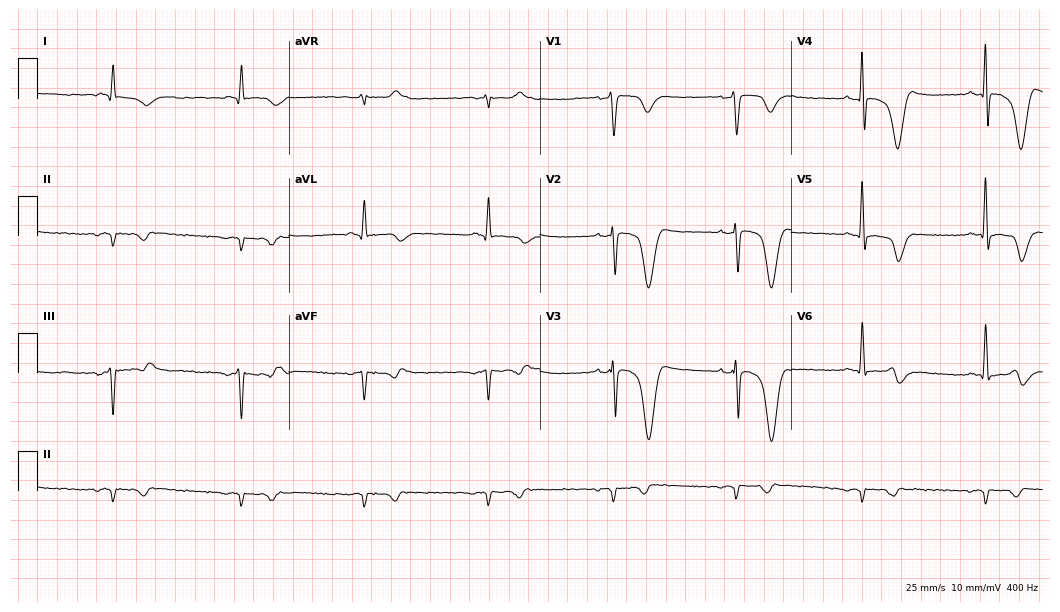
Standard 12-lead ECG recorded from a man, 54 years old (10.2-second recording at 400 Hz). None of these six findings is recorded: first-degree AV block, right bundle branch block (RBBB), left bundle branch block (LBBB), sinus bradycardia, atrial fibrillation (AF), sinus tachycardia.